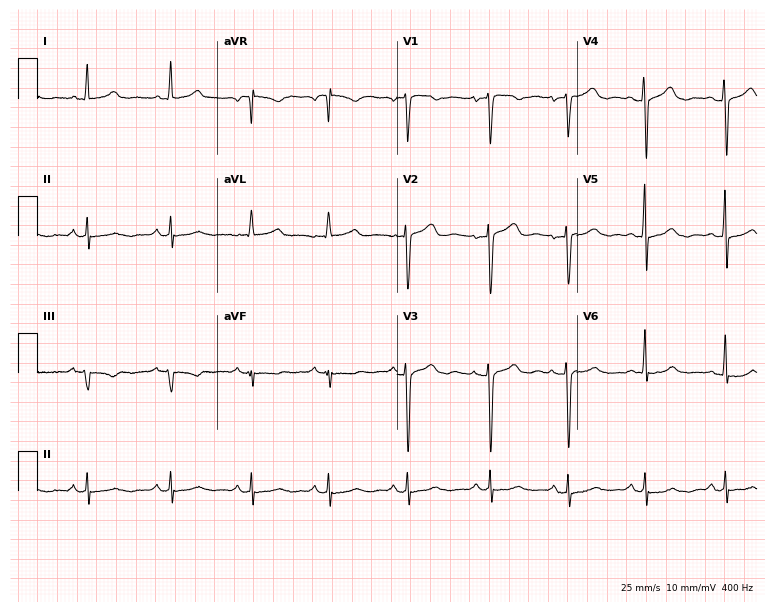
Standard 12-lead ECG recorded from a 42-year-old female patient (7.3-second recording at 400 Hz). Read as a normal ECG.